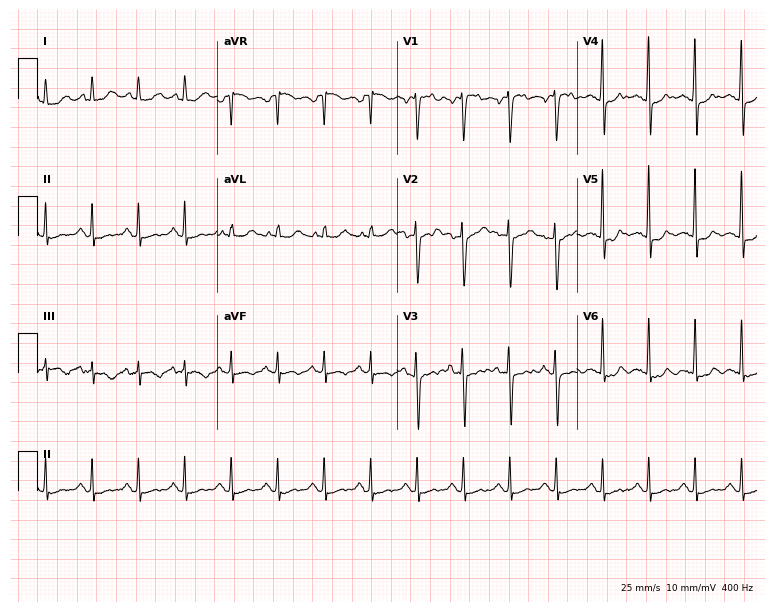
ECG (7.3-second recording at 400 Hz) — a 39-year-old female patient. Findings include sinus tachycardia (a sinus rate of 100 beats per minute or more).